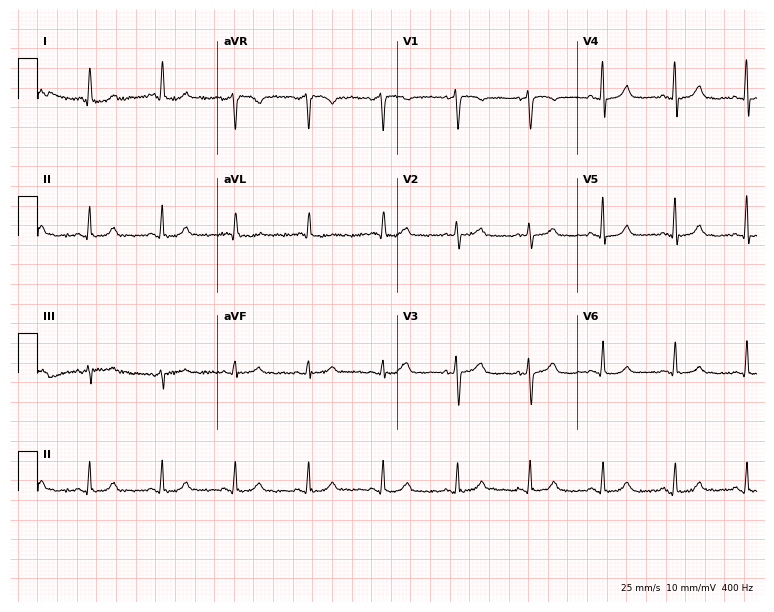
Resting 12-lead electrocardiogram (7.3-second recording at 400 Hz). Patient: a 54-year-old woman. Read as a normal ECG.